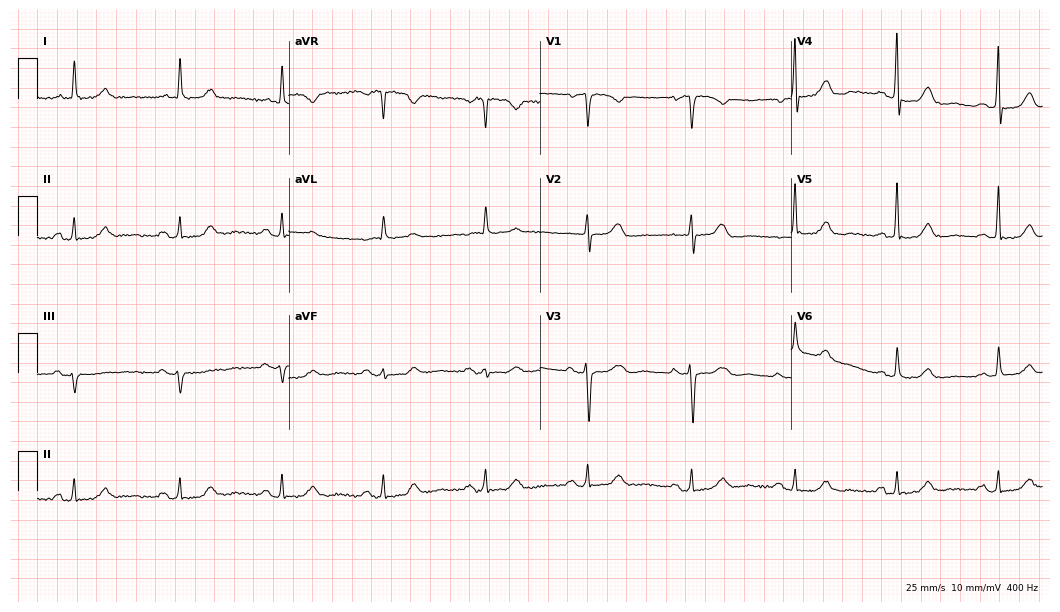
12-lead ECG from a 65-year-old female patient. Recorded interpretation: within normal limits.